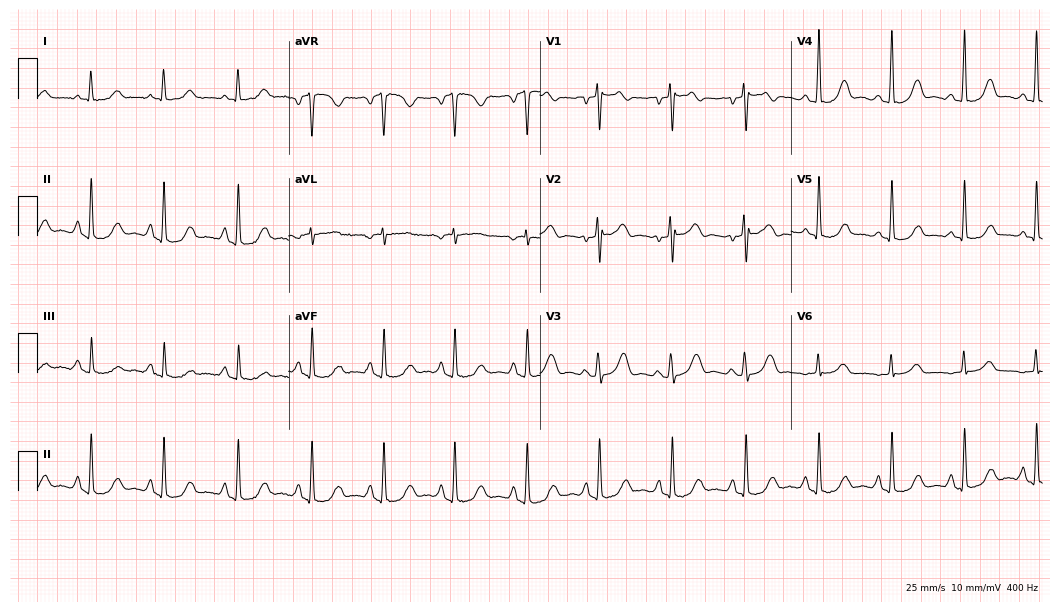
Electrocardiogram (10.2-second recording at 400 Hz), a woman, 54 years old. Overall reading on record: normal ECG.